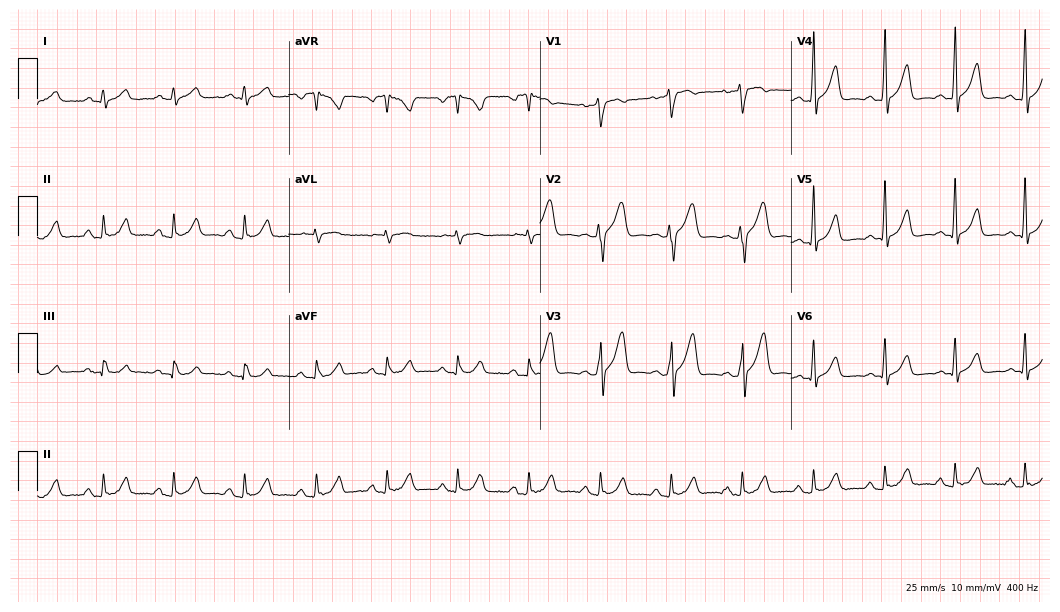
ECG (10.2-second recording at 400 Hz) — a 37-year-old male. Labelled as a normal ECG.